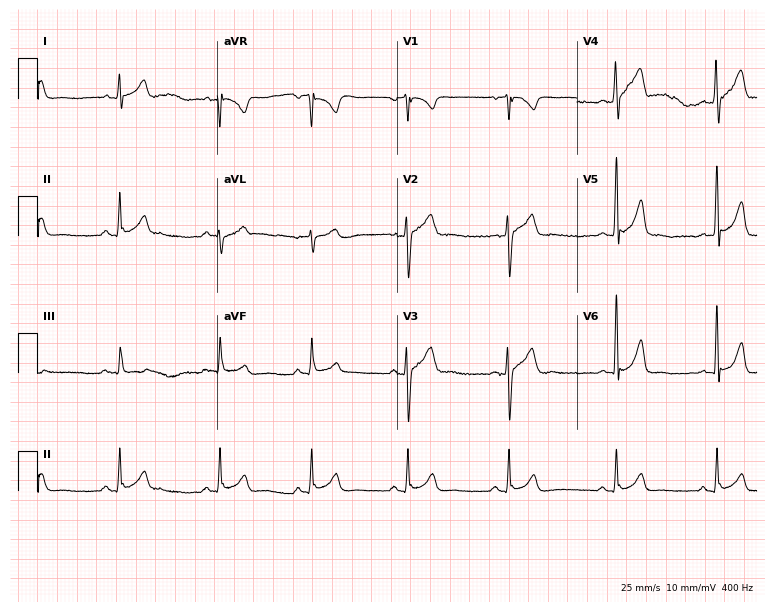
ECG (7.3-second recording at 400 Hz) — a 17-year-old man. Labelled as a normal ECG.